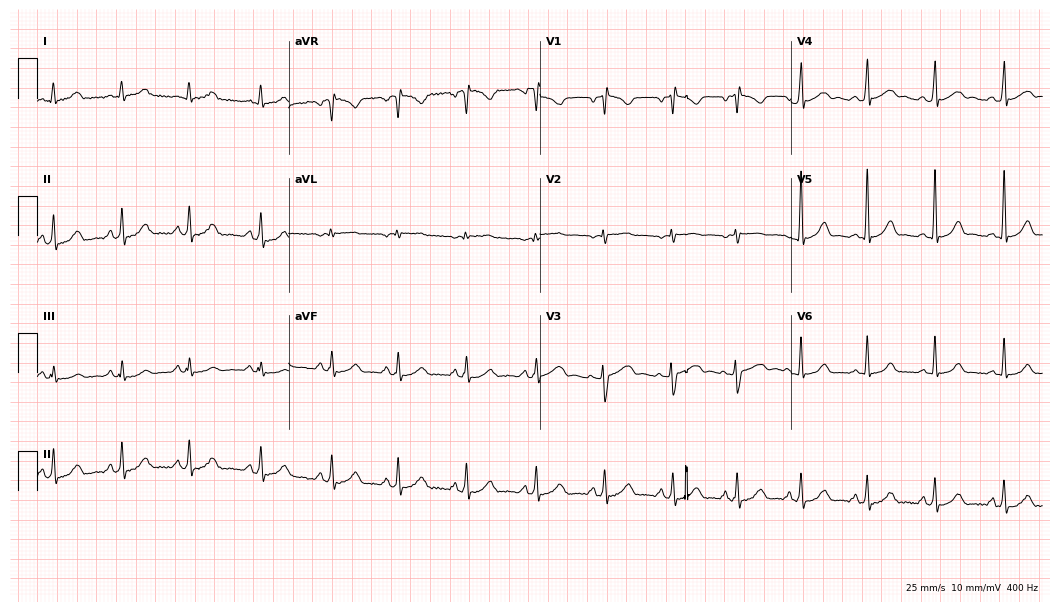
Electrocardiogram (10.2-second recording at 400 Hz), a female patient, 22 years old. Of the six screened findings (first-degree AV block, right bundle branch block (RBBB), left bundle branch block (LBBB), sinus bradycardia, atrial fibrillation (AF), sinus tachycardia), none is recorded. Findings outside these six are not listed.